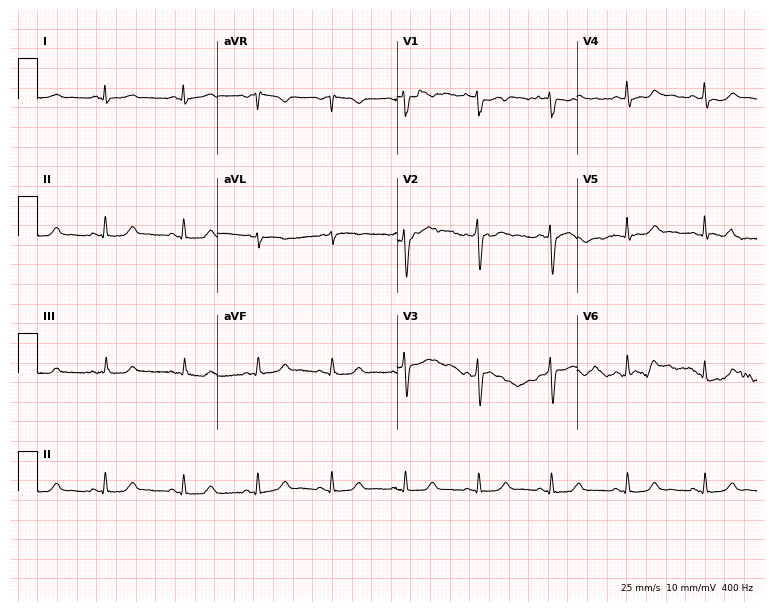
12-lead ECG from a woman, 37 years old. No first-degree AV block, right bundle branch block (RBBB), left bundle branch block (LBBB), sinus bradycardia, atrial fibrillation (AF) or sinus tachycardia recorded for this tracing.